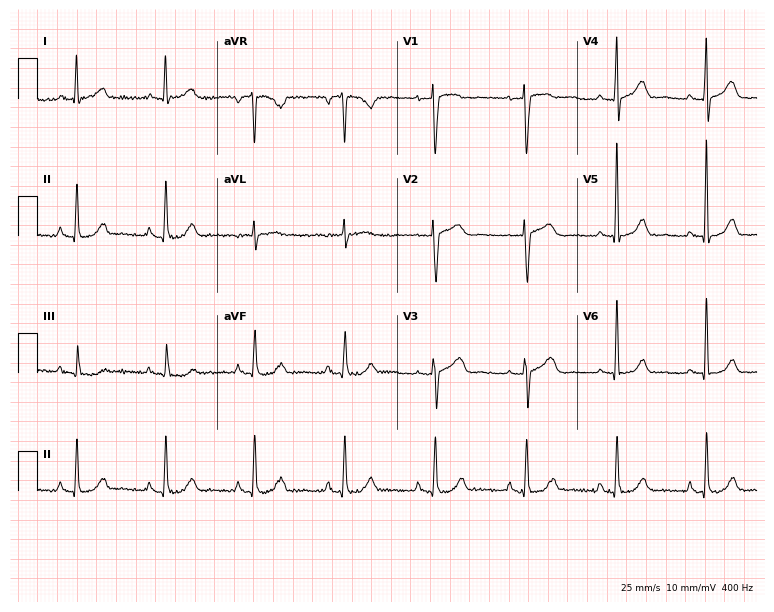
ECG — a woman, 71 years old. Labelled as a normal ECG.